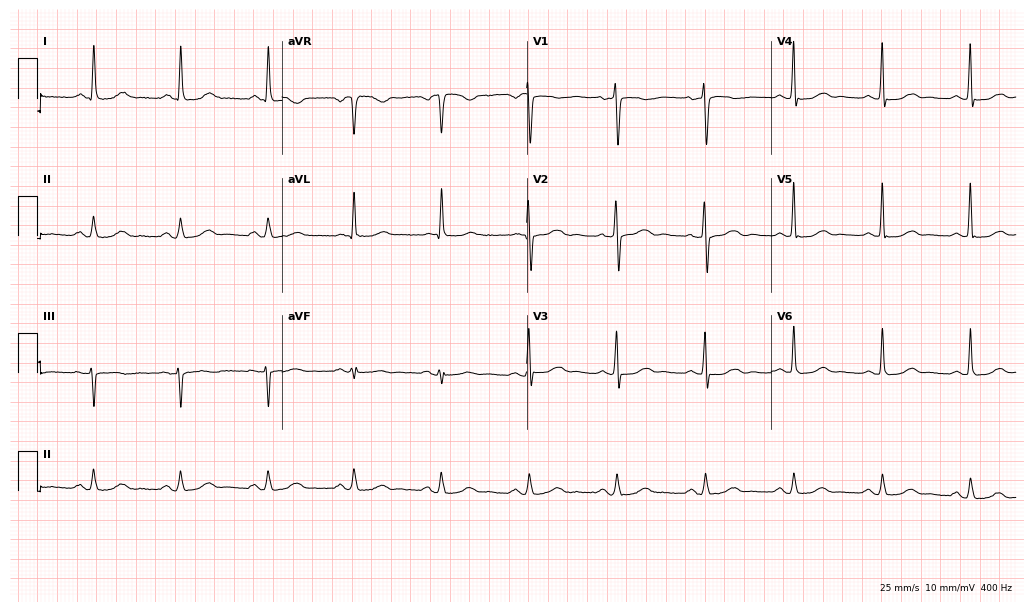
ECG (10-second recording at 400 Hz) — a 73-year-old woman. Screened for six findings — first-degree AV block, right bundle branch block, left bundle branch block, sinus bradycardia, atrial fibrillation, sinus tachycardia — none is recorded.